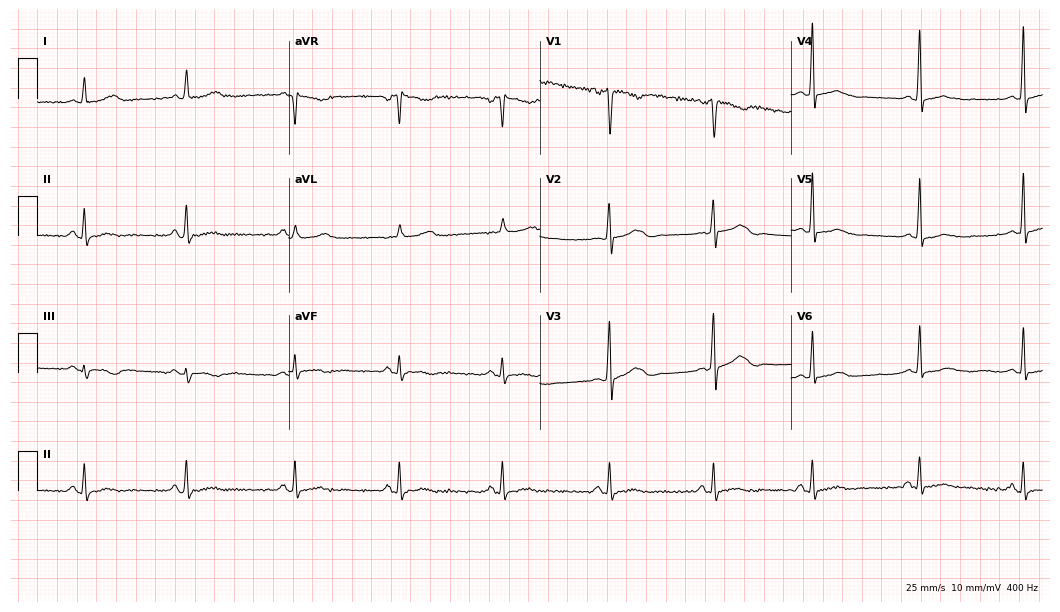
12-lead ECG (10.2-second recording at 400 Hz) from a woman, 35 years old. Screened for six findings — first-degree AV block, right bundle branch block, left bundle branch block, sinus bradycardia, atrial fibrillation, sinus tachycardia — none is recorded. Other findings, if any, are not listed.